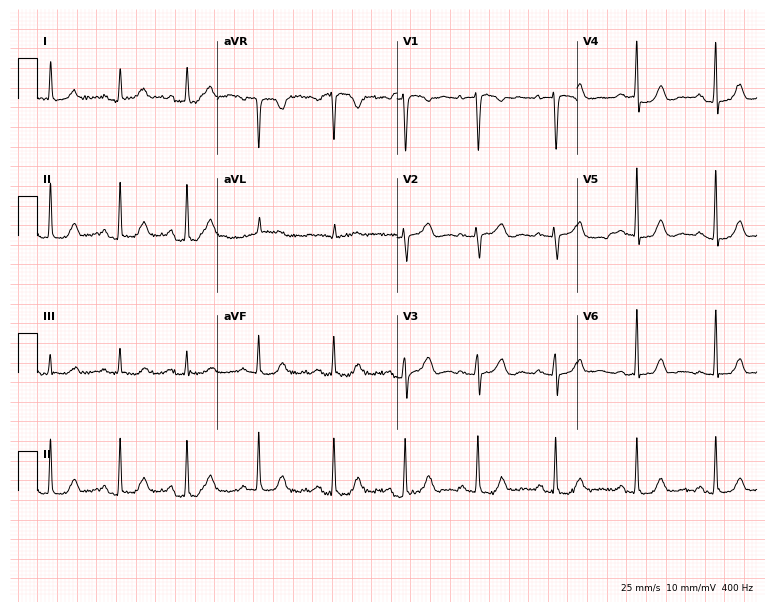
12-lead ECG (7.3-second recording at 400 Hz) from a 47-year-old woman. Labelled as a normal ECG.